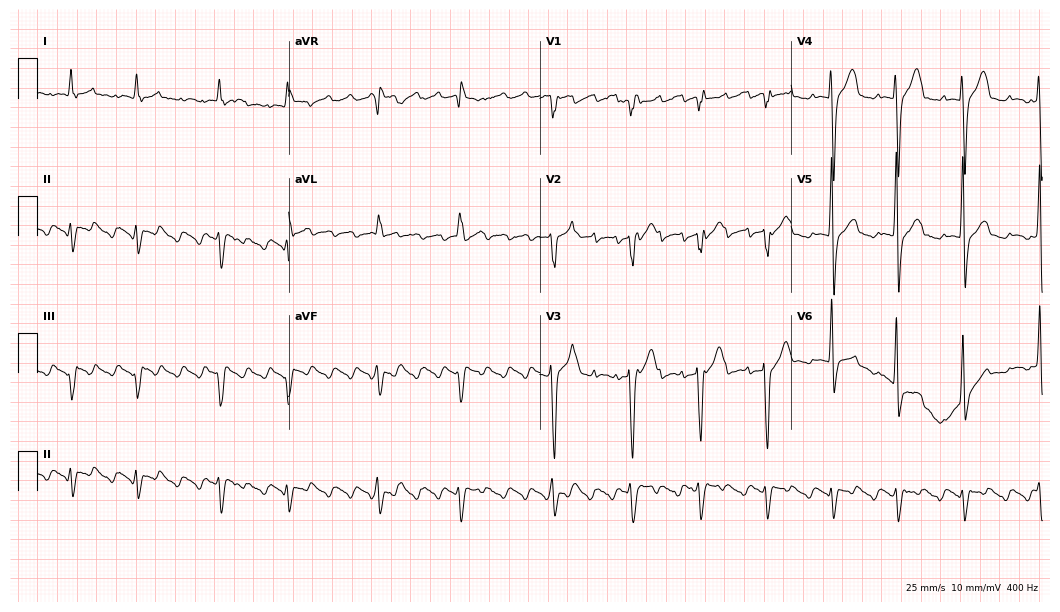
Standard 12-lead ECG recorded from a man, 84 years old. None of these six findings is recorded: first-degree AV block, right bundle branch block (RBBB), left bundle branch block (LBBB), sinus bradycardia, atrial fibrillation (AF), sinus tachycardia.